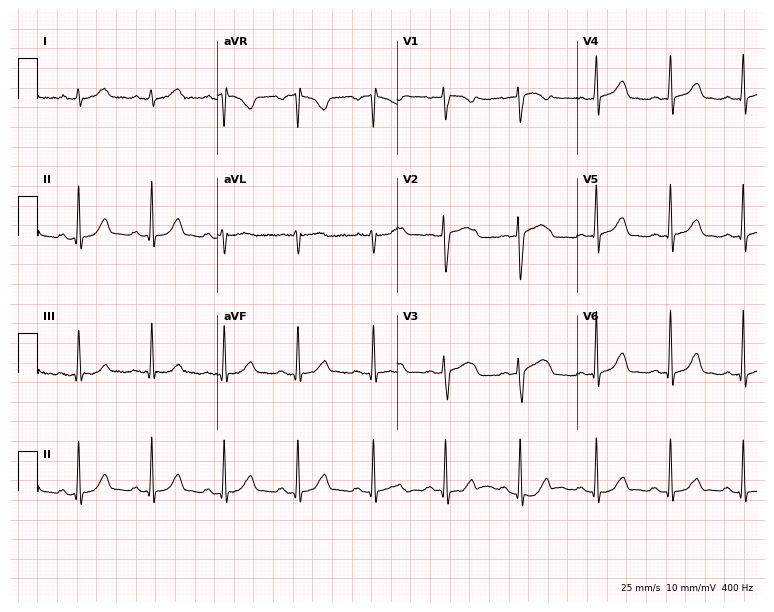
Resting 12-lead electrocardiogram. Patient: a 35-year-old female. None of these six findings is recorded: first-degree AV block, right bundle branch block, left bundle branch block, sinus bradycardia, atrial fibrillation, sinus tachycardia.